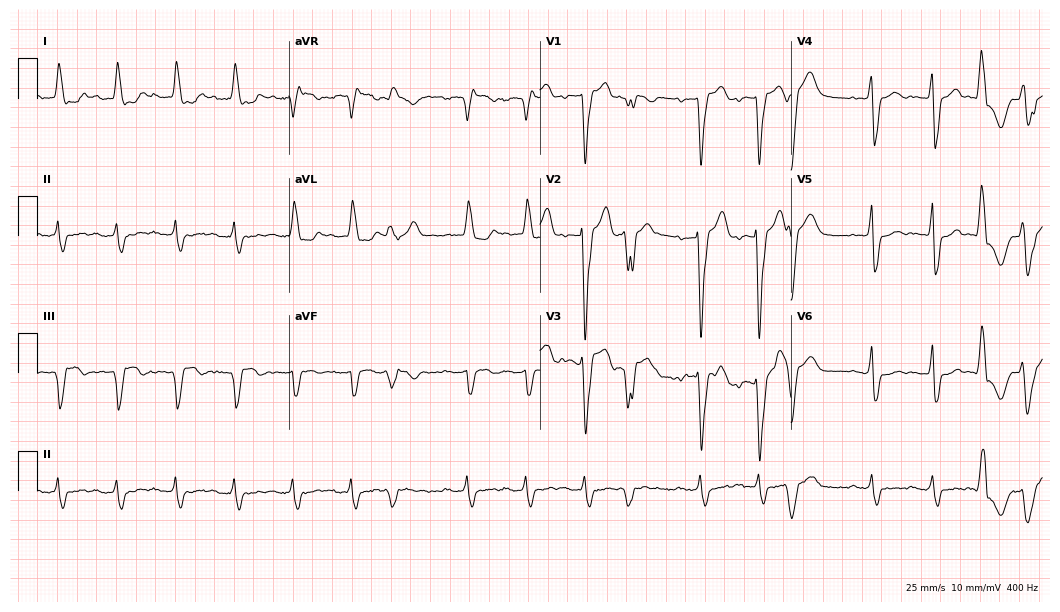
Electrocardiogram, a 75-year-old female patient. Interpretation includes left bundle branch block.